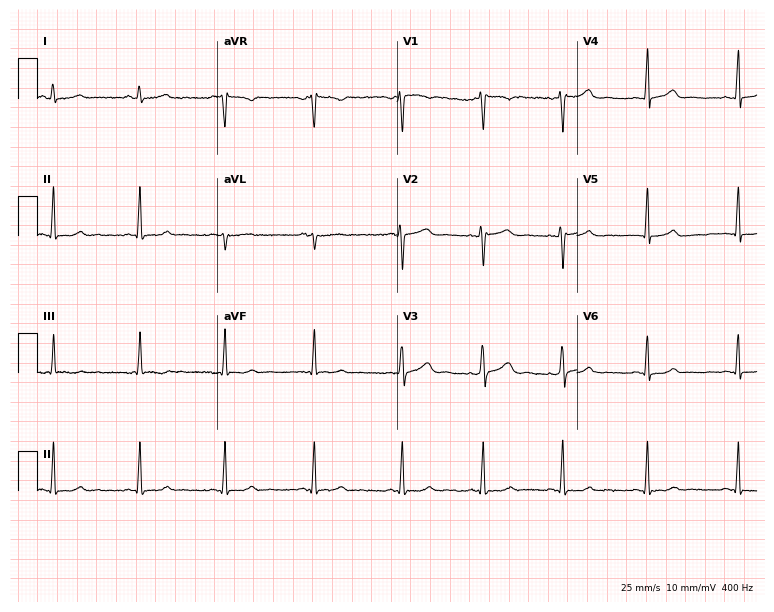
ECG (7.3-second recording at 400 Hz) — a female patient, 22 years old. Screened for six findings — first-degree AV block, right bundle branch block, left bundle branch block, sinus bradycardia, atrial fibrillation, sinus tachycardia — none is recorded.